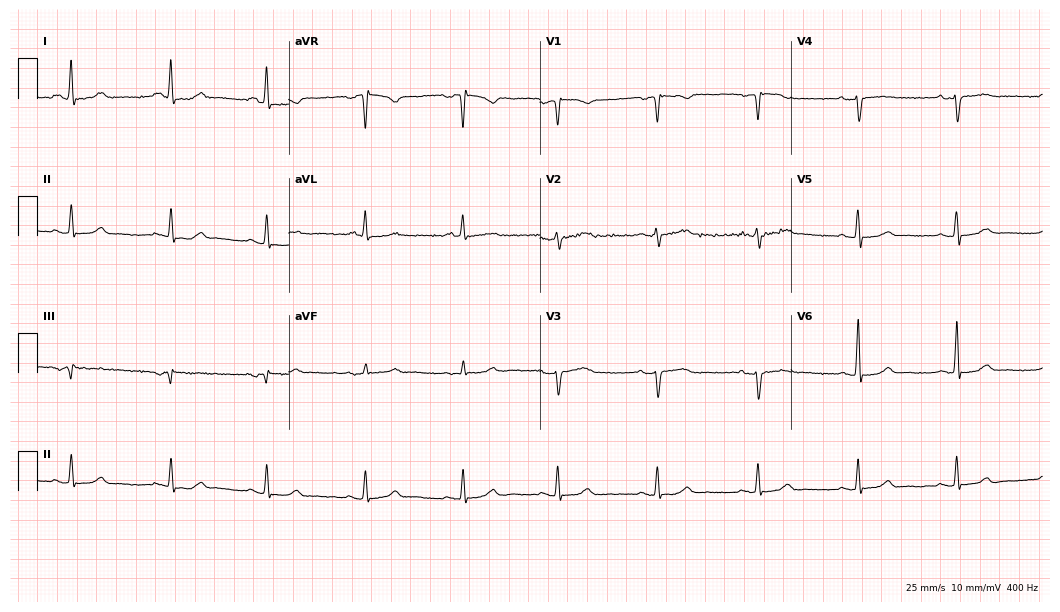
Resting 12-lead electrocardiogram. Patient: a 51-year-old female. None of these six findings is recorded: first-degree AV block, right bundle branch block, left bundle branch block, sinus bradycardia, atrial fibrillation, sinus tachycardia. Findings outside these six are not listed.